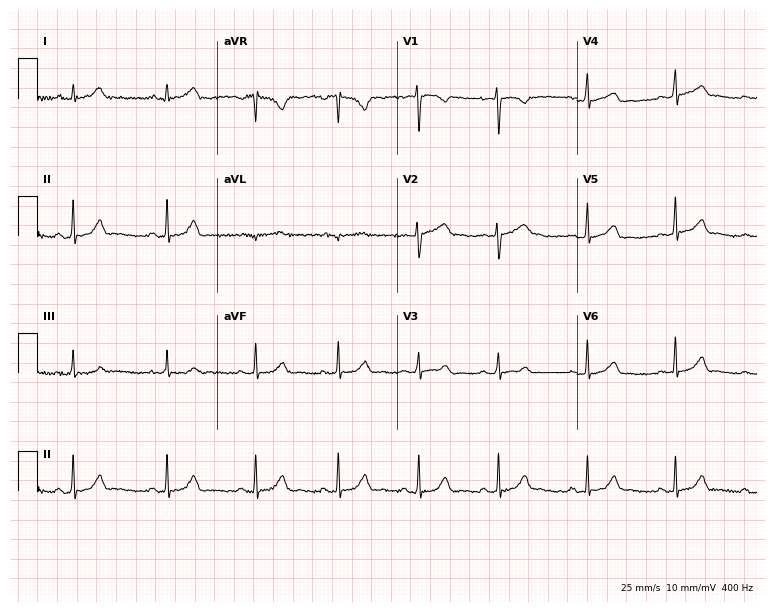
ECG (7.3-second recording at 400 Hz) — a 28-year-old female patient. Screened for six findings — first-degree AV block, right bundle branch block, left bundle branch block, sinus bradycardia, atrial fibrillation, sinus tachycardia — none is recorded.